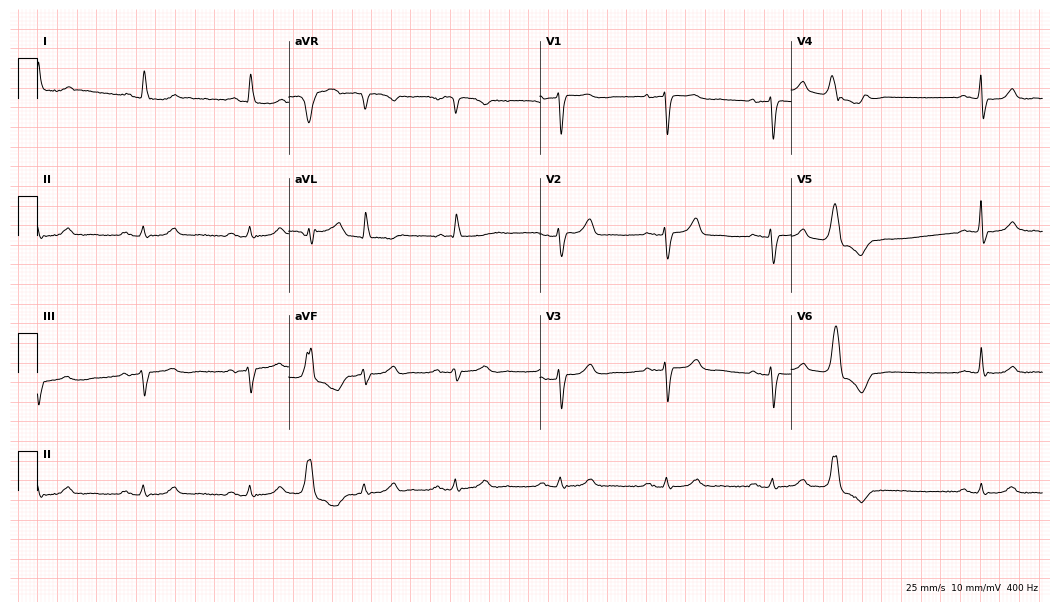
Standard 12-lead ECG recorded from a female, 67 years old (10.2-second recording at 400 Hz). The tracing shows first-degree AV block.